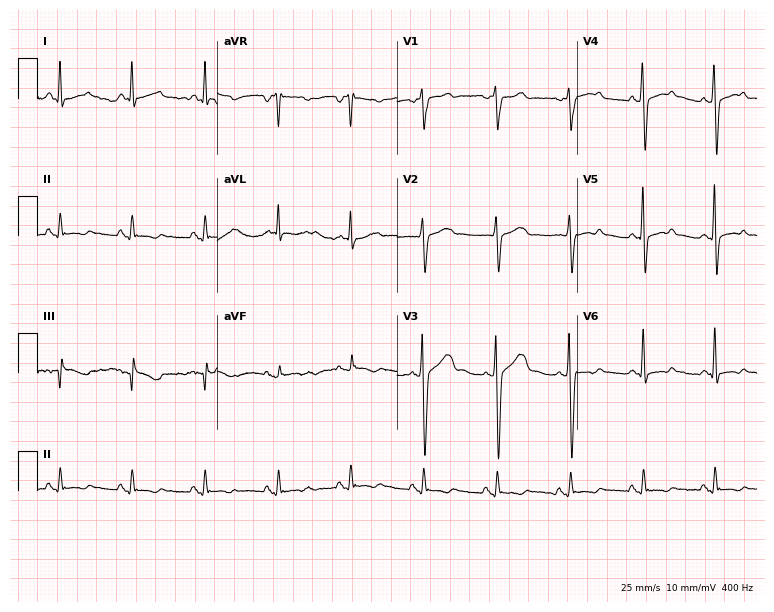
ECG (7.3-second recording at 400 Hz) — a 49-year-old man. Screened for six findings — first-degree AV block, right bundle branch block, left bundle branch block, sinus bradycardia, atrial fibrillation, sinus tachycardia — none is recorded.